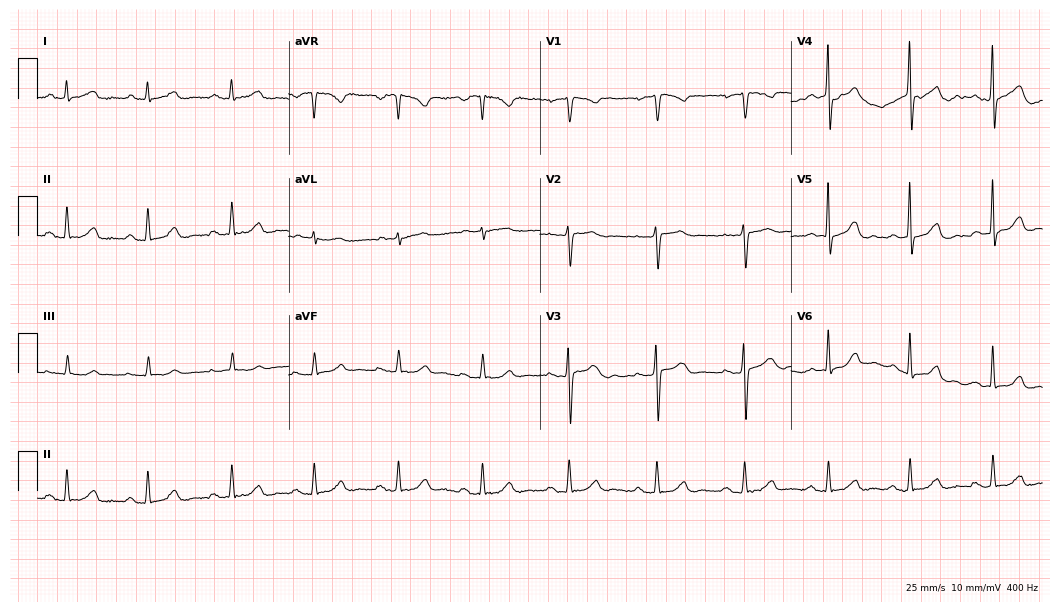
Electrocardiogram (10.2-second recording at 400 Hz), a female, 43 years old. Of the six screened findings (first-degree AV block, right bundle branch block (RBBB), left bundle branch block (LBBB), sinus bradycardia, atrial fibrillation (AF), sinus tachycardia), none is recorded.